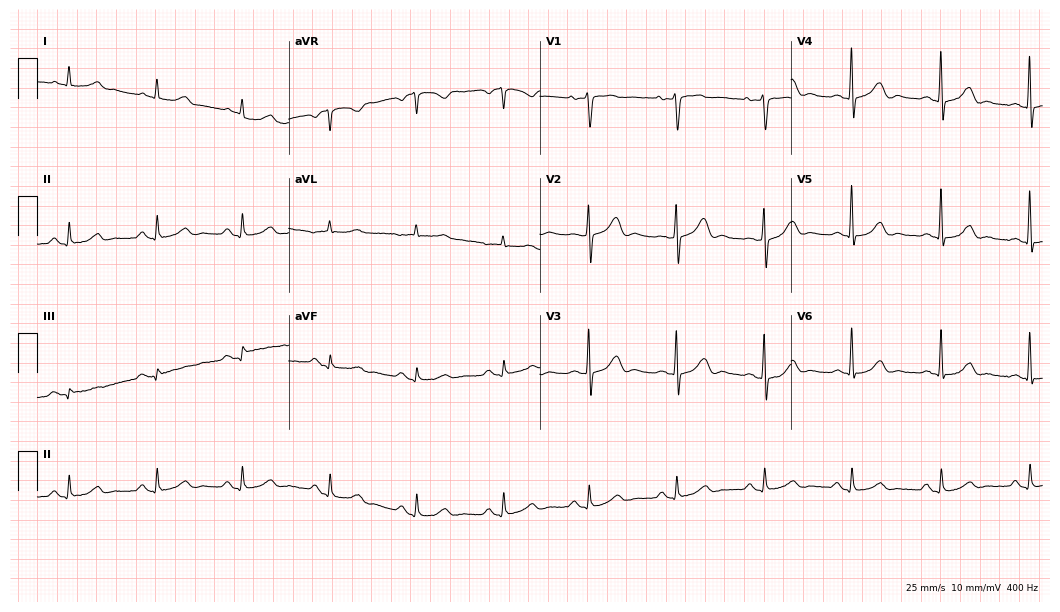
ECG (10.2-second recording at 400 Hz) — a female patient, 71 years old. Labelled as a normal ECG.